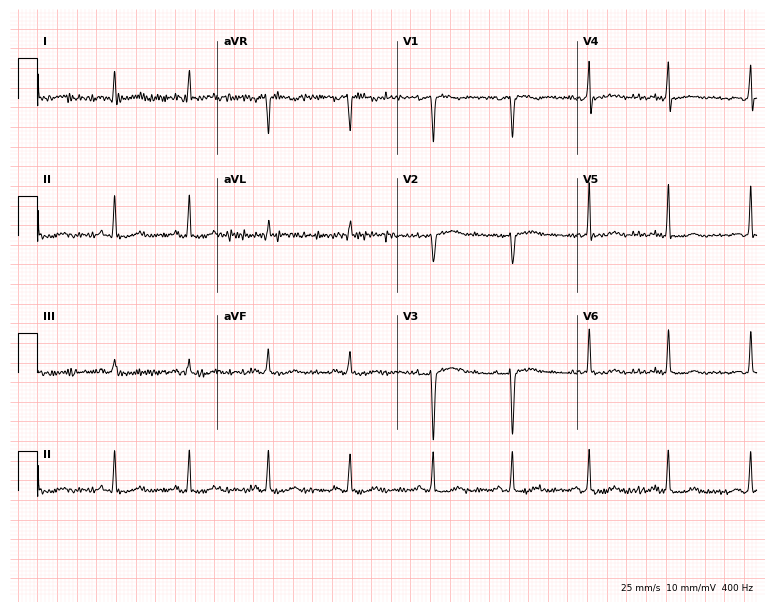
Standard 12-lead ECG recorded from a 36-year-old female (7.3-second recording at 400 Hz). Read as a normal ECG.